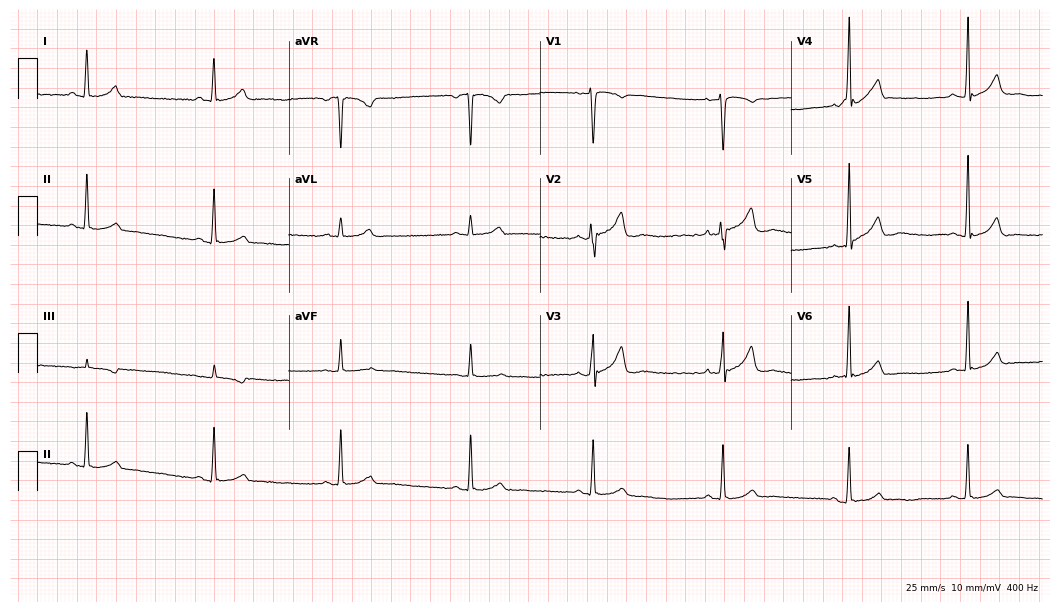
Standard 12-lead ECG recorded from a 33-year-old female. The tracing shows sinus bradycardia (a sinus rate of 50 beats per minute or less).